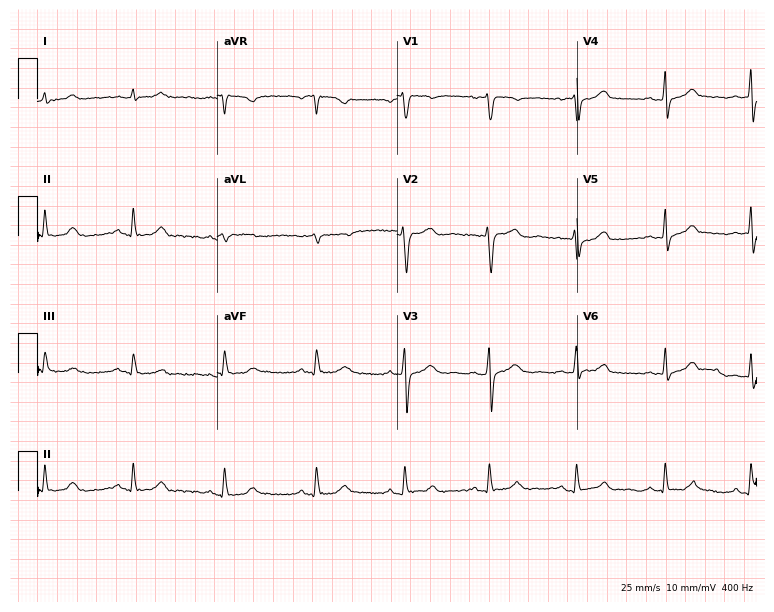
Resting 12-lead electrocardiogram (7.3-second recording at 400 Hz). Patient: a 23-year-old female. None of these six findings is recorded: first-degree AV block, right bundle branch block, left bundle branch block, sinus bradycardia, atrial fibrillation, sinus tachycardia.